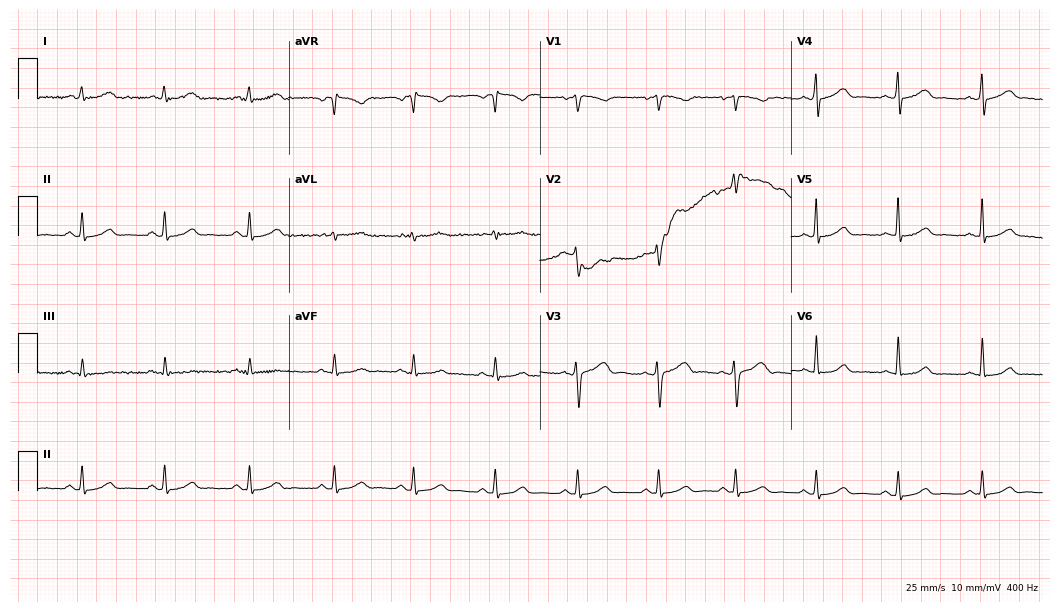
Electrocardiogram, a female patient, 37 years old. Overall reading on record: normal ECG.